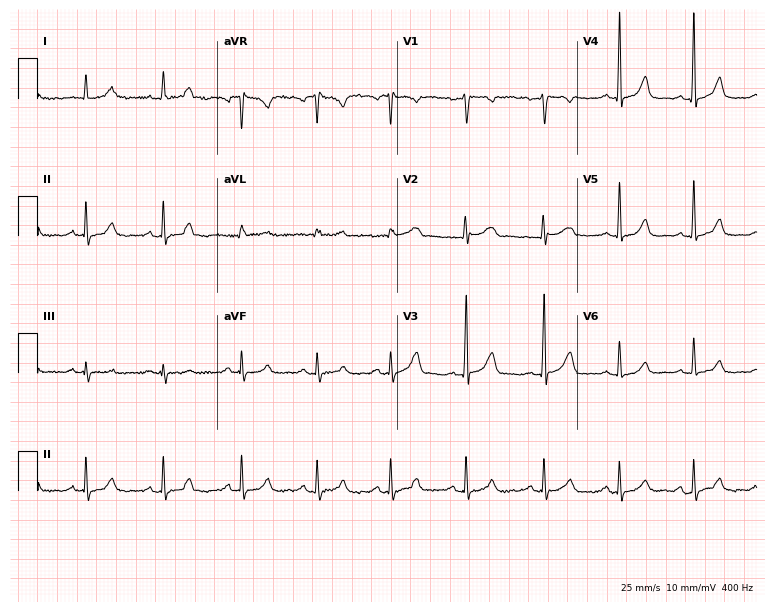
Electrocardiogram (7.3-second recording at 400 Hz), a 36-year-old female. Of the six screened findings (first-degree AV block, right bundle branch block, left bundle branch block, sinus bradycardia, atrial fibrillation, sinus tachycardia), none is recorded.